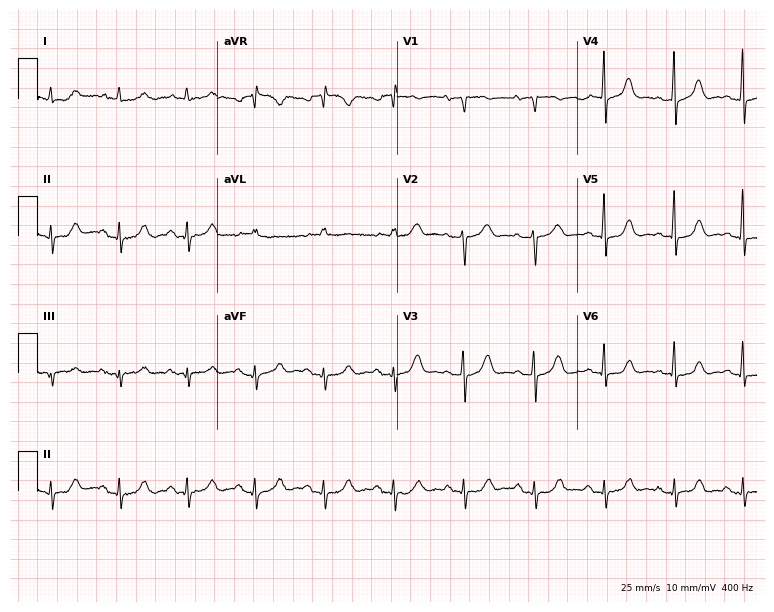
ECG (7.3-second recording at 400 Hz) — a 72-year-old female. Screened for six findings — first-degree AV block, right bundle branch block, left bundle branch block, sinus bradycardia, atrial fibrillation, sinus tachycardia — none is recorded. Findings outside these six are not listed.